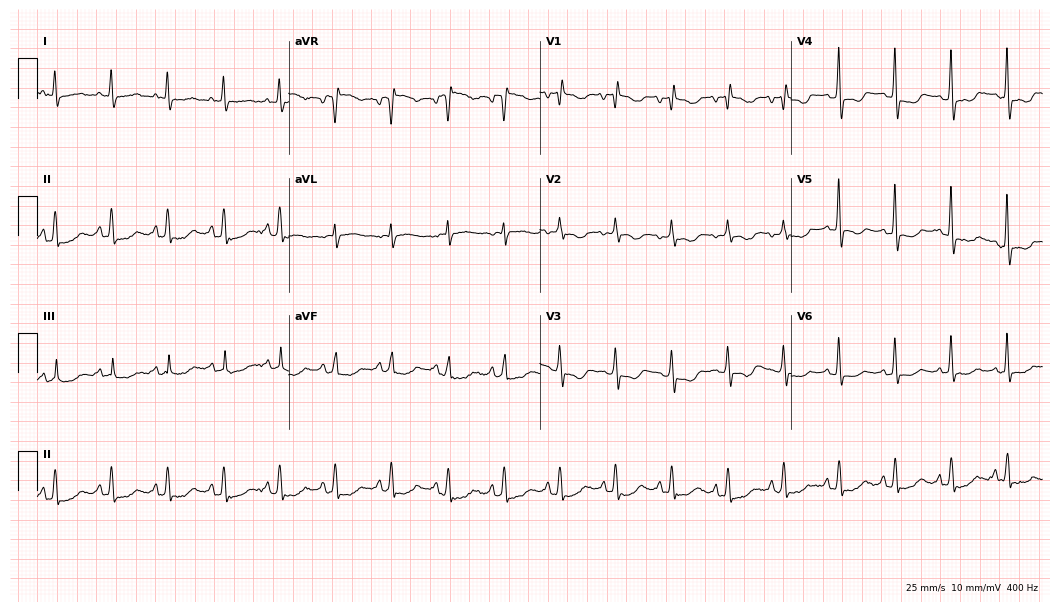
12-lead ECG (10.2-second recording at 400 Hz) from a 64-year-old woman. Findings include sinus tachycardia (a sinus rate of 100 beats per minute or more).